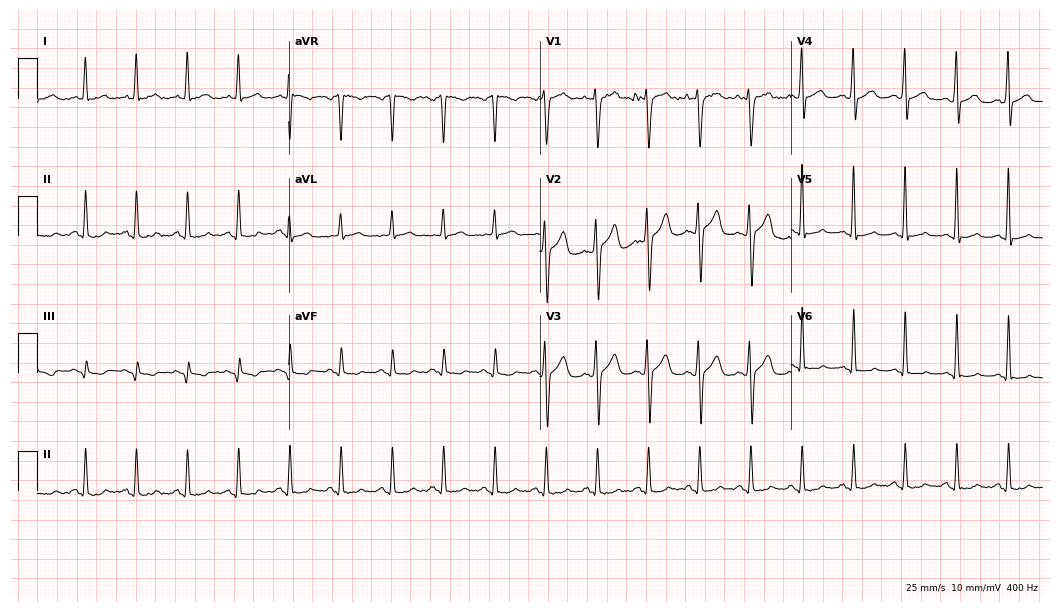
Standard 12-lead ECG recorded from a 26-year-old male (10.2-second recording at 400 Hz). None of these six findings is recorded: first-degree AV block, right bundle branch block, left bundle branch block, sinus bradycardia, atrial fibrillation, sinus tachycardia. Findings outside these six are not listed.